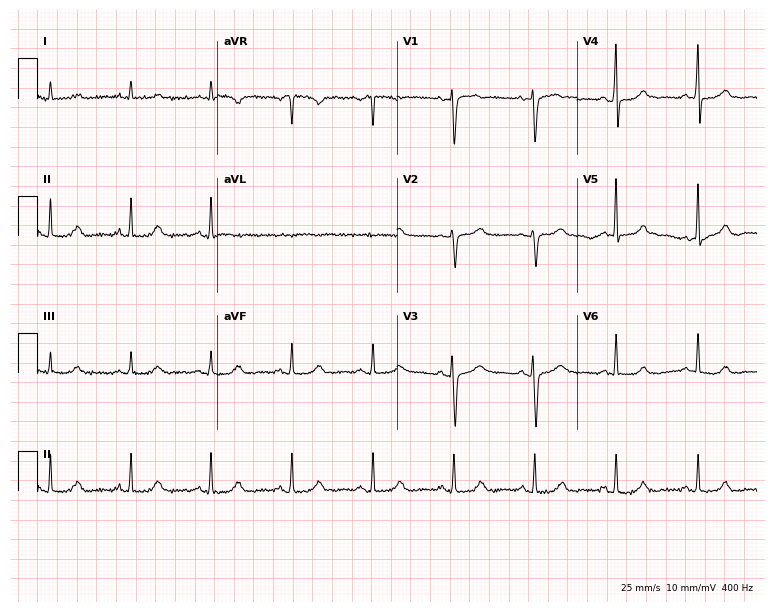
Resting 12-lead electrocardiogram. Patient: a woman, 68 years old. Read as a normal ECG.